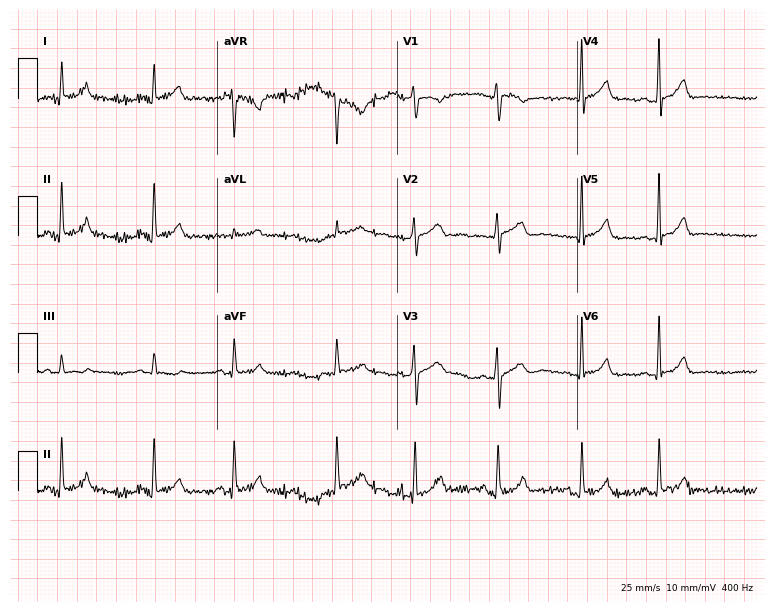
12-lead ECG from a 19-year-old woman. Labelled as a normal ECG.